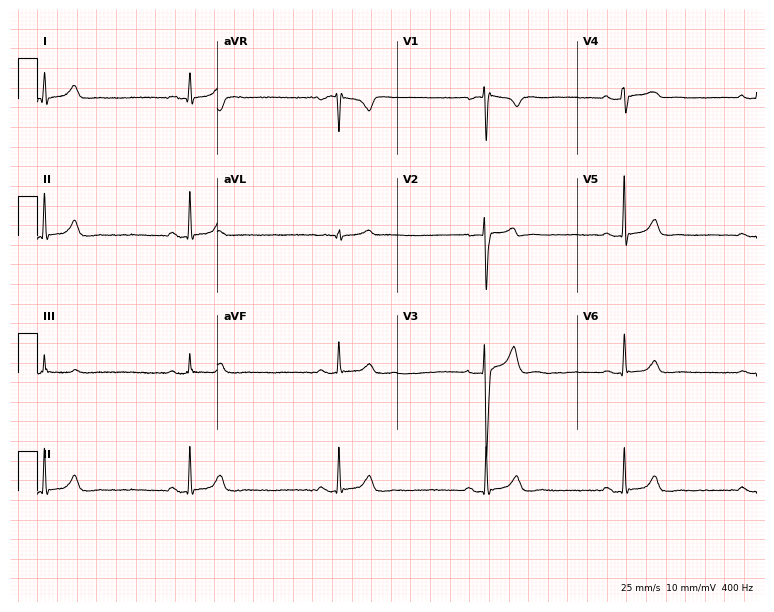
12-lead ECG (7.3-second recording at 400 Hz) from a 34-year-old male. Screened for six findings — first-degree AV block, right bundle branch block, left bundle branch block, sinus bradycardia, atrial fibrillation, sinus tachycardia — none is recorded. Findings outside these six are not listed.